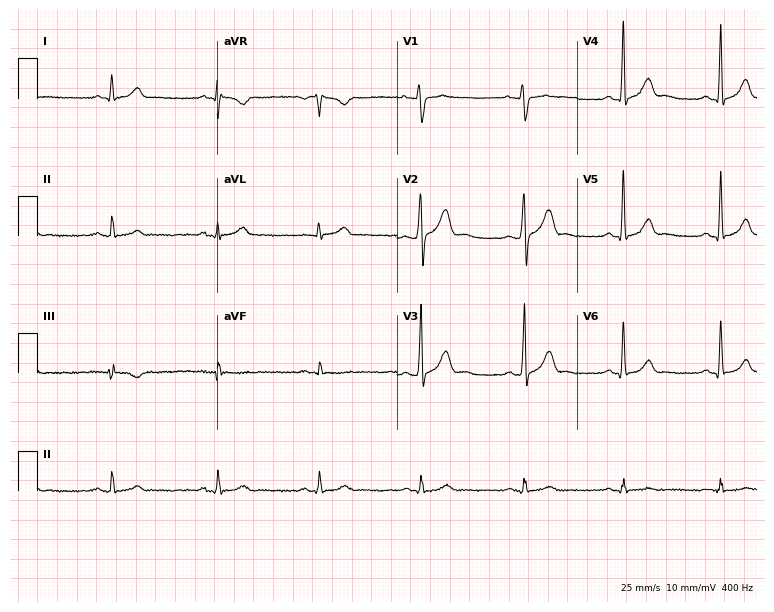
12-lead ECG from a 33-year-old male. Recorded interpretation: within normal limits.